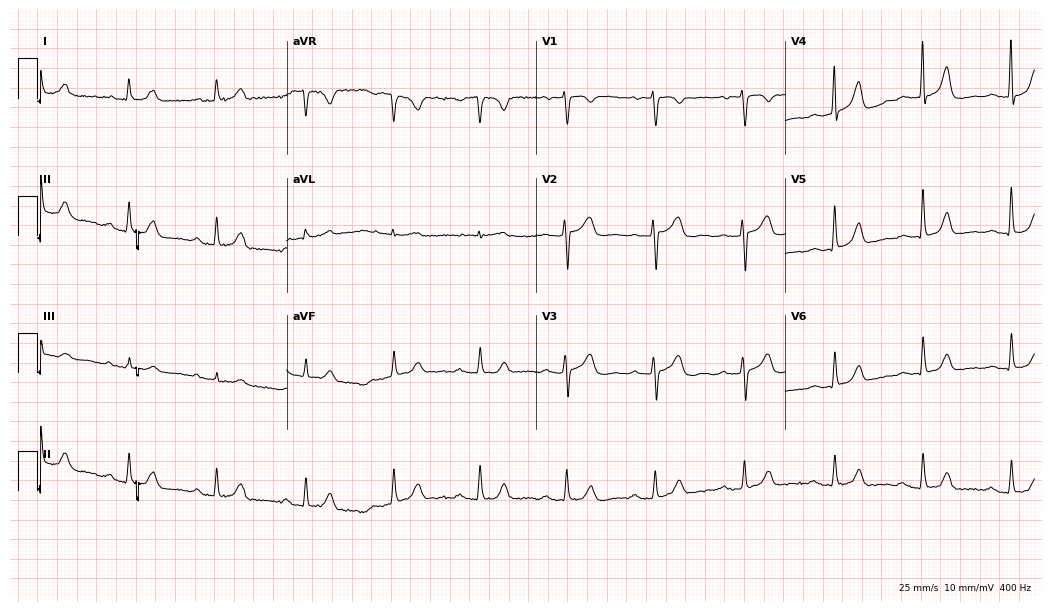
12-lead ECG from an 84-year-old female patient. Recorded interpretation: within normal limits.